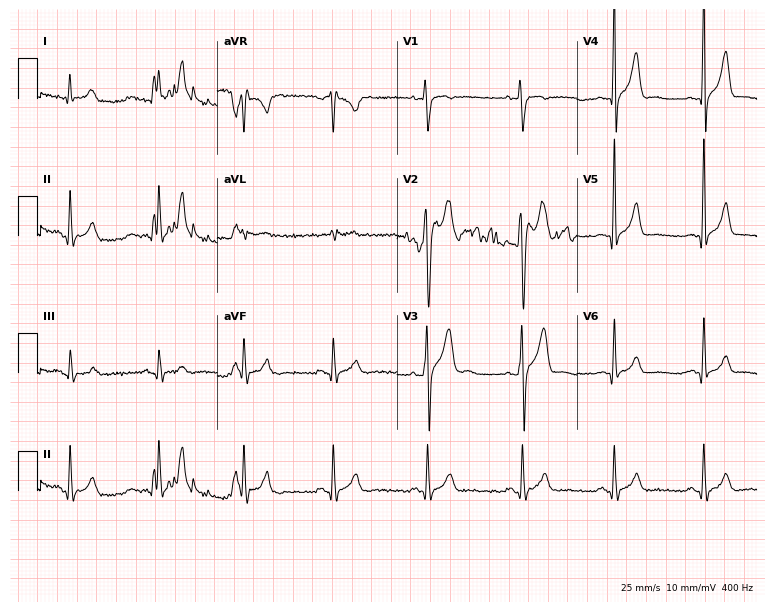
ECG (7.3-second recording at 400 Hz) — a man, 32 years old. Screened for six findings — first-degree AV block, right bundle branch block (RBBB), left bundle branch block (LBBB), sinus bradycardia, atrial fibrillation (AF), sinus tachycardia — none is recorded. Findings outside these six are not listed.